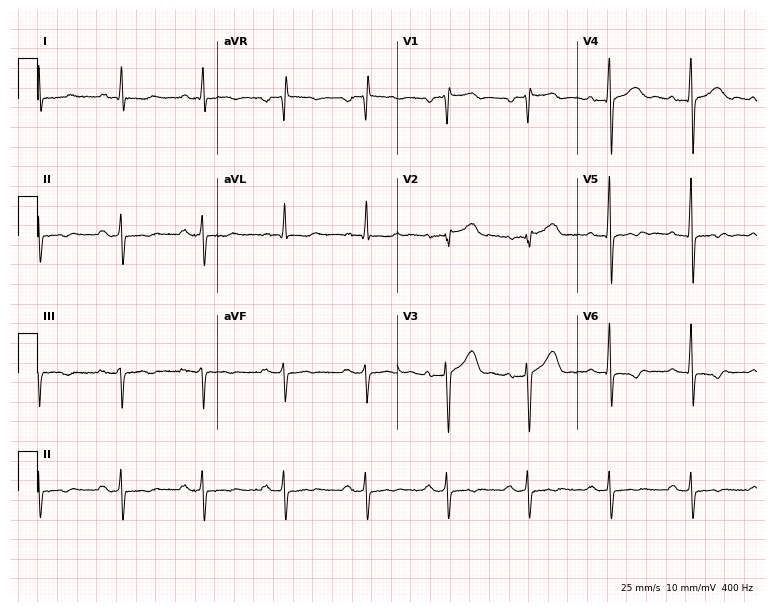
Resting 12-lead electrocardiogram (7.3-second recording at 400 Hz). Patient: a male, 54 years old. Read as a normal ECG.